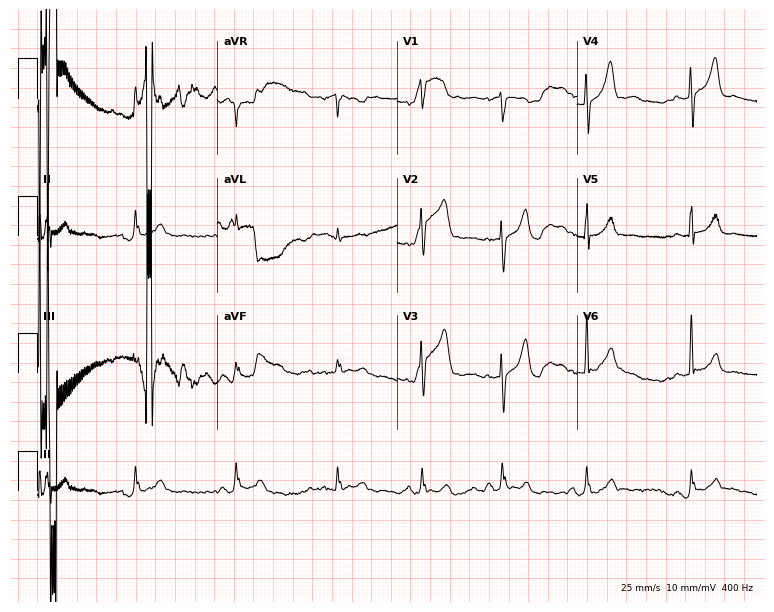
Electrocardiogram (7.3-second recording at 400 Hz), a 31-year-old male patient. Of the six screened findings (first-degree AV block, right bundle branch block (RBBB), left bundle branch block (LBBB), sinus bradycardia, atrial fibrillation (AF), sinus tachycardia), none is recorded.